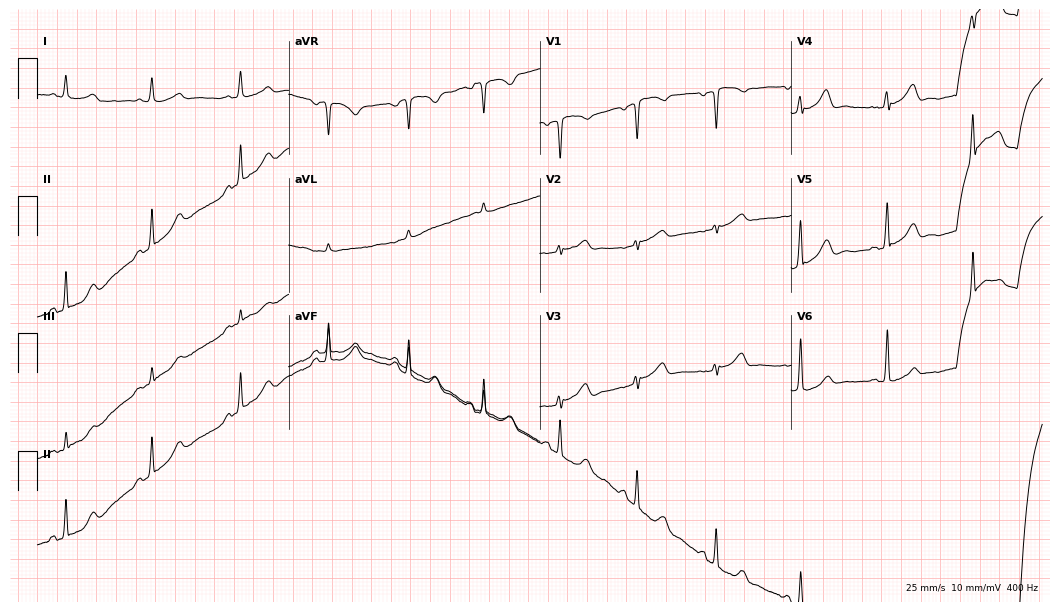
Electrocardiogram (10.2-second recording at 400 Hz), a female, 57 years old. Of the six screened findings (first-degree AV block, right bundle branch block (RBBB), left bundle branch block (LBBB), sinus bradycardia, atrial fibrillation (AF), sinus tachycardia), none is recorded. Other findings, if any, are not listed.